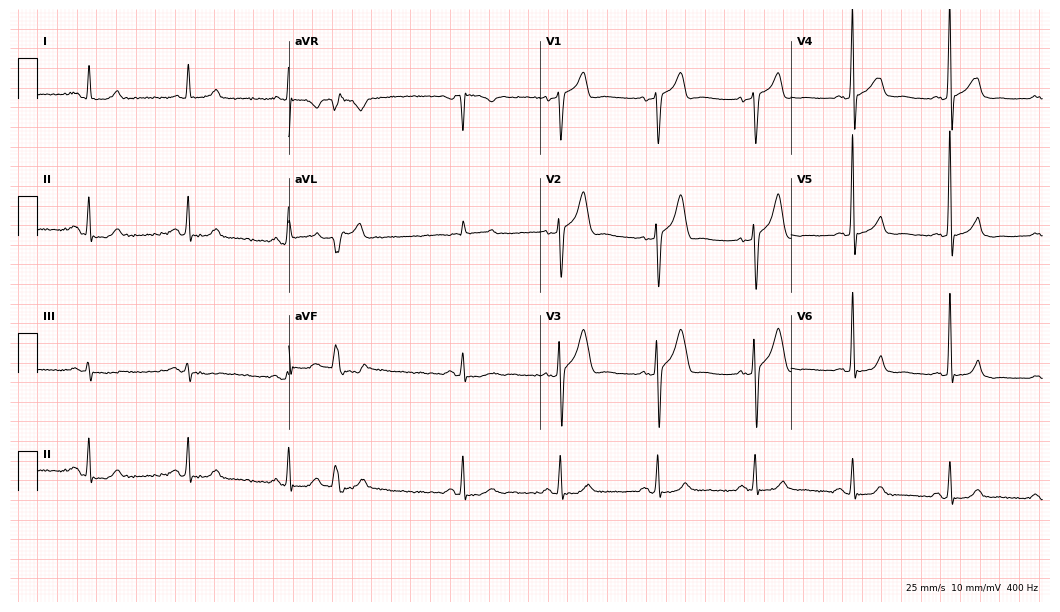
12-lead ECG from a man, 63 years old (10.2-second recording at 400 Hz). Shows sinus bradycardia (a sinus rate of 50 beats per minute or less).